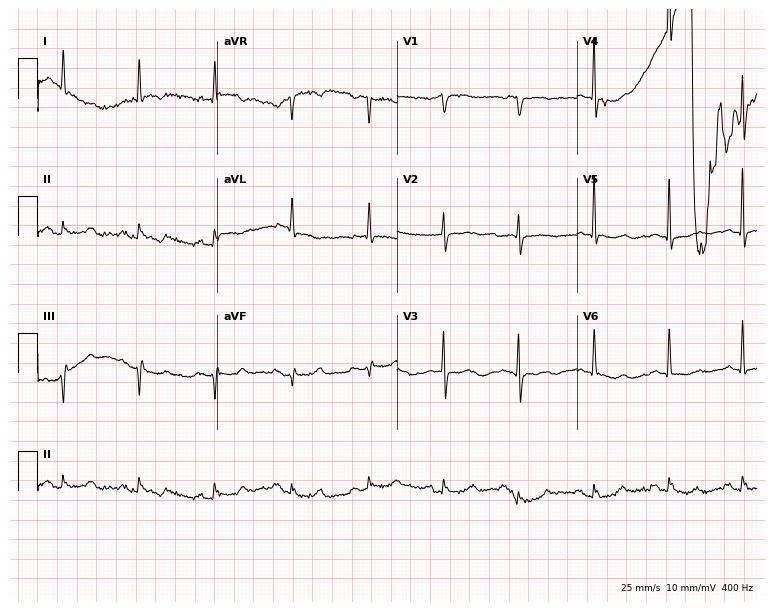
Resting 12-lead electrocardiogram. Patient: a woman, 72 years old. None of these six findings is recorded: first-degree AV block, right bundle branch block, left bundle branch block, sinus bradycardia, atrial fibrillation, sinus tachycardia. Findings outside these six are not listed.